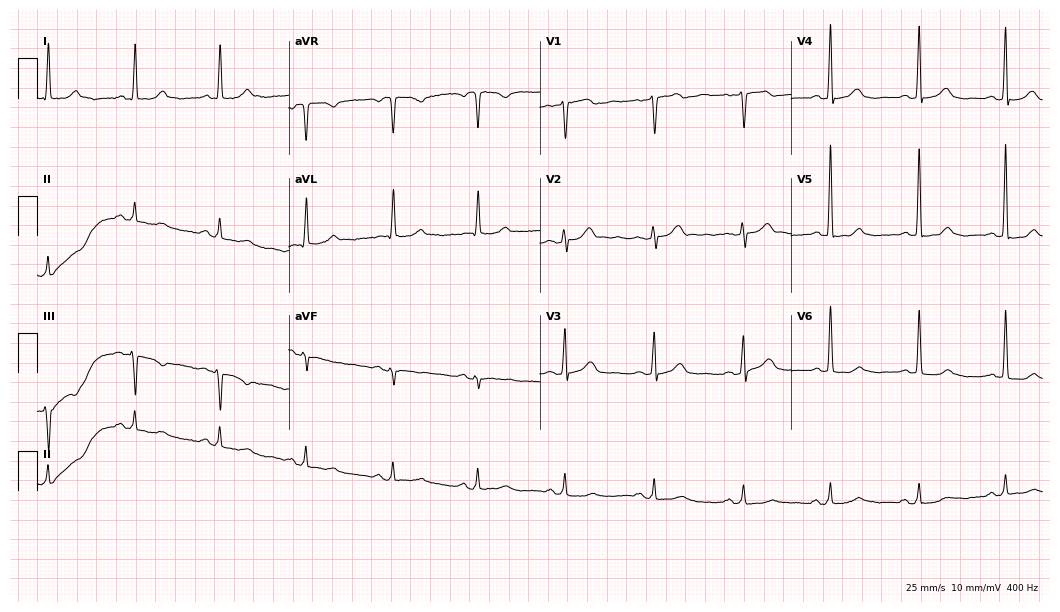
Standard 12-lead ECG recorded from a woman, 84 years old (10.2-second recording at 400 Hz). None of these six findings is recorded: first-degree AV block, right bundle branch block (RBBB), left bundle branch block (LBBB), sinus bradycardia, atrial fibrillation (AF), sinus tachycardia.